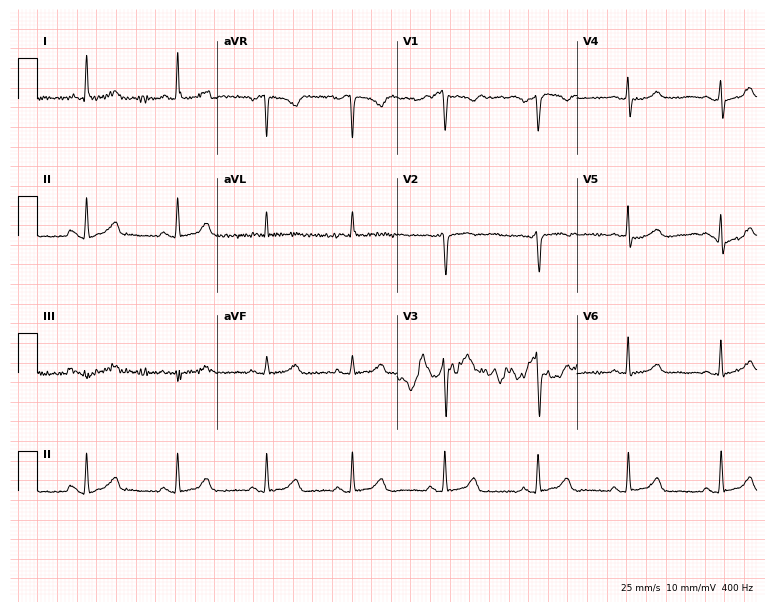
12-lead ECG from a 61-year-old female patient (7.3-second recording at 400 Hz). No first-degree AV block, right bundle branch block, left bundle branch block, sinus bradycardia, atrial fibrillation or sinus tachycardia recorded for this tracing. Findings outside these six are not listed.